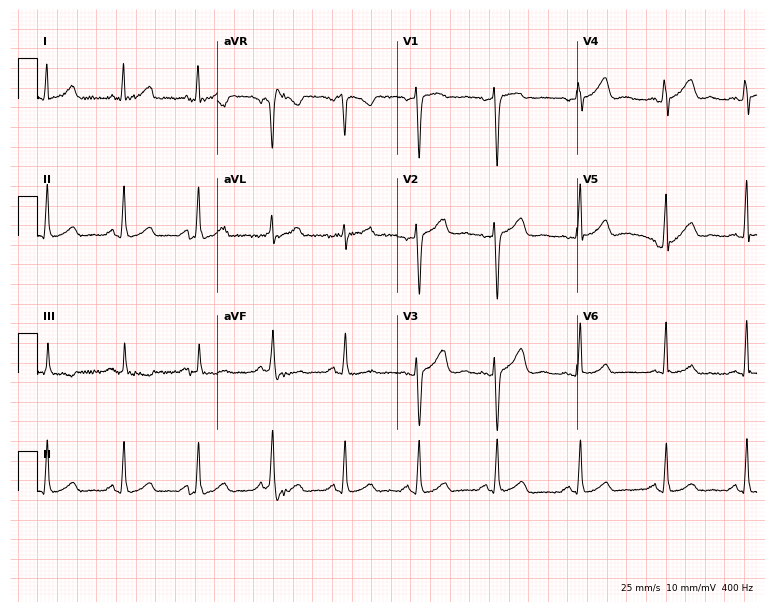
ECG (7.3-second recording at 400 Hz) — a 53-year-old female. Labelled as a normal ECG.